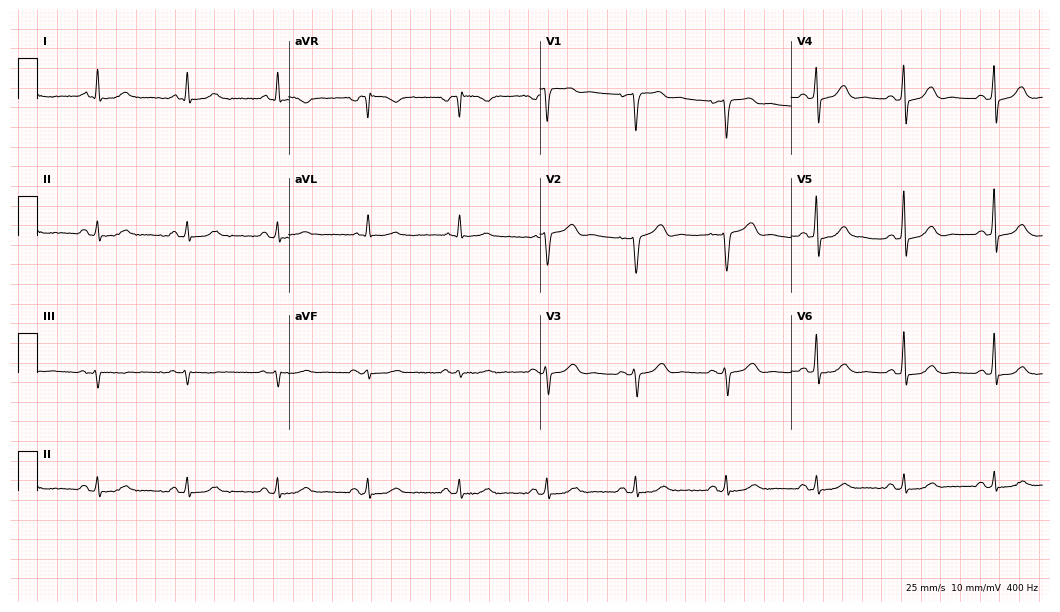
12-lead ECG from a woman, 74 years old. Labelled as a normal ECG.